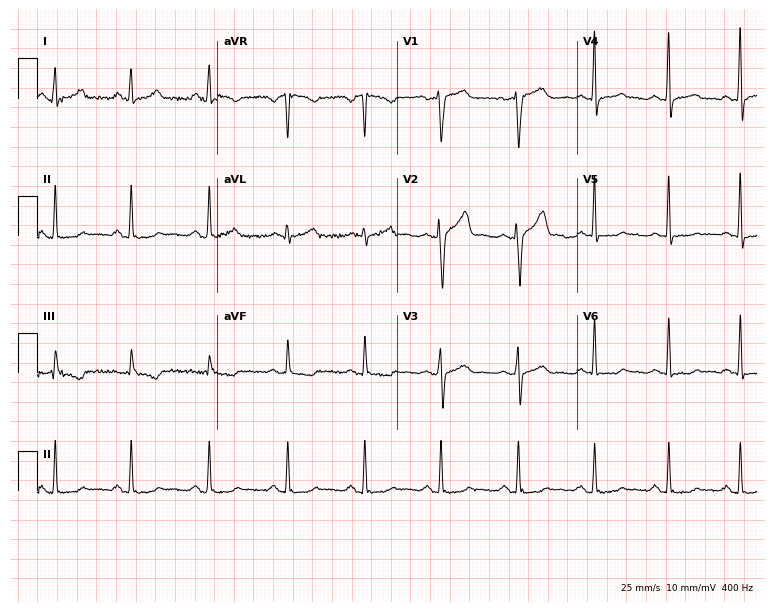
Standard 12-lead ECG recorded from a 45-year-old male. Read as a normal ECG.